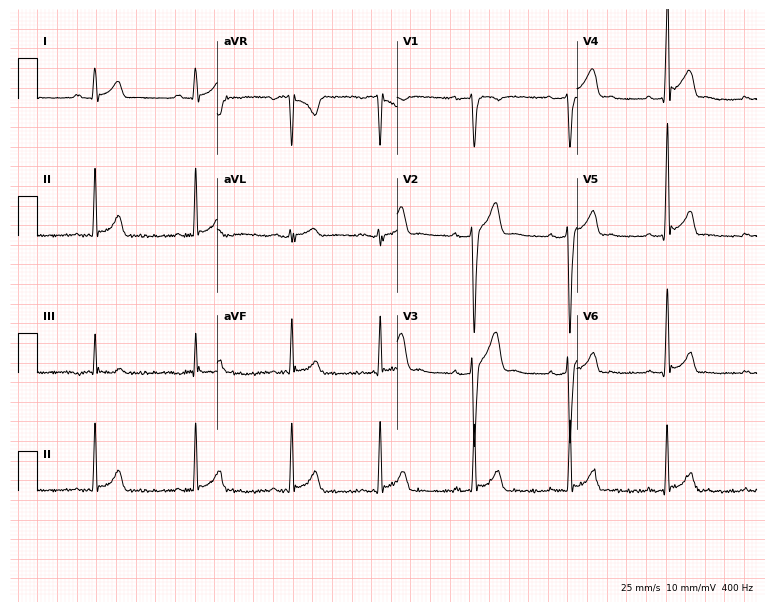
12-lead ECG from a 22-year-old man. Recorded interpretation: within normal limits.